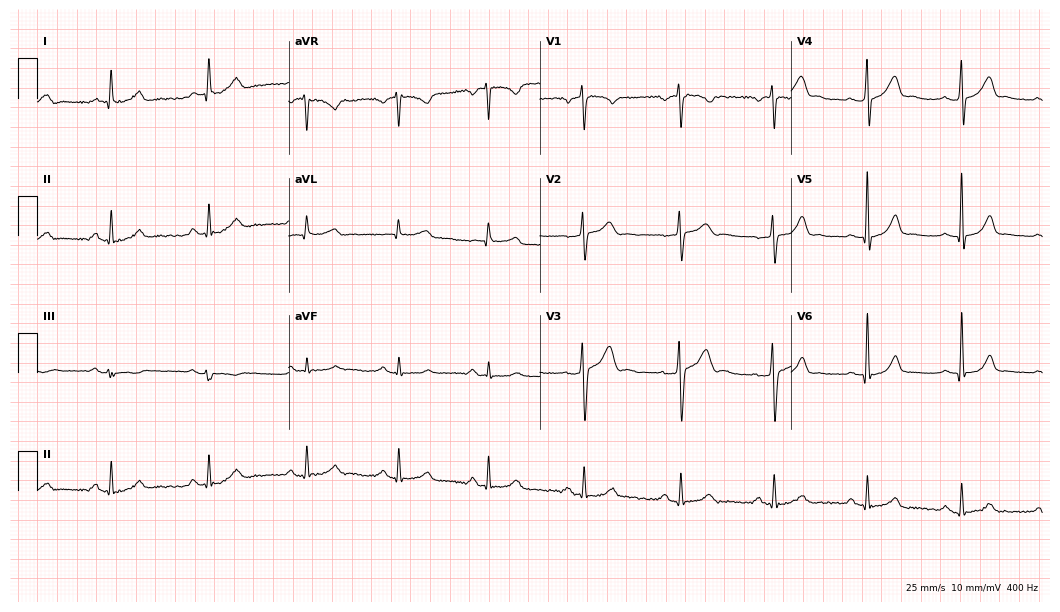
Electrocardiogram (10.2-second recording at 400 Hz), a woman, 36 years old. Overall reading on record: normal ECG.